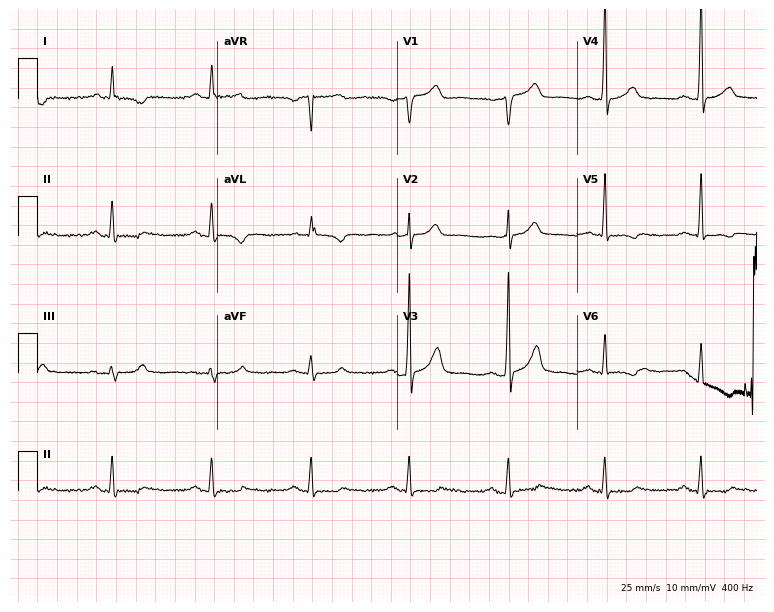
Electrocardiogram, a 66-year-old man. Of the six screened findings (first-degree AV block, right bundle branch block, left bundle branch block, sinus bradycardia, atrial fibrillation, sinus tachycardia), none is recorded.